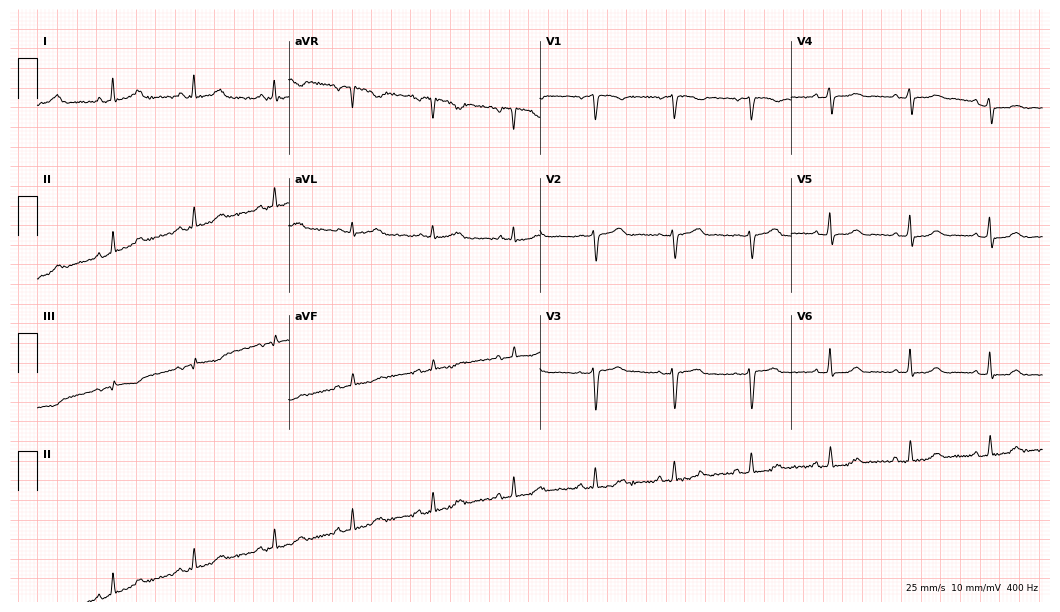
Resting 12-lead electrocardiogram. Patient: a female, 45 years old. Read as a normal ECG.